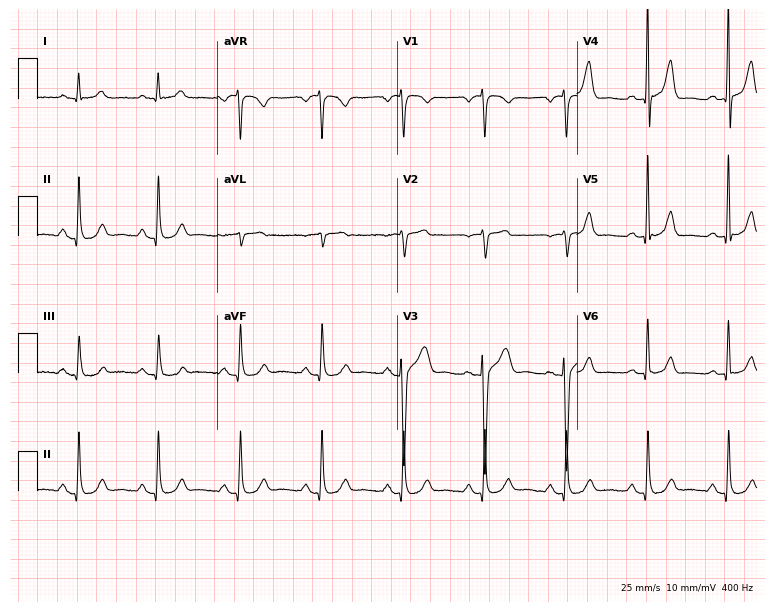
Standard 12-lead ECG recorded from a male patient, 65 years old (7.3-second recording at 400 Hz). Read as a normal ECG.